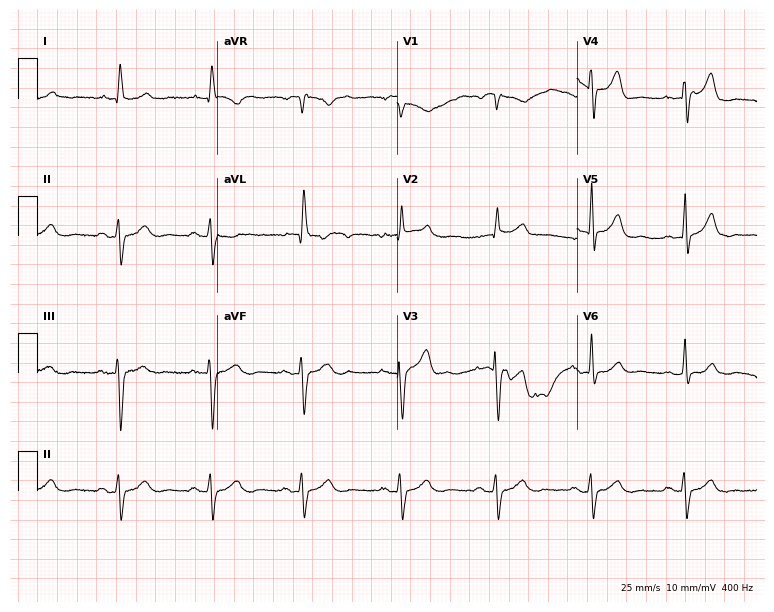
Resting 12-lead electrocardiogram. Patient: a man, 78 years old. None of these six findings is recorded: first-degree AV block, right bundle branch block, left bundle branch block, sinus bradycardia, atrial fibrillation, sinus tachycardia.